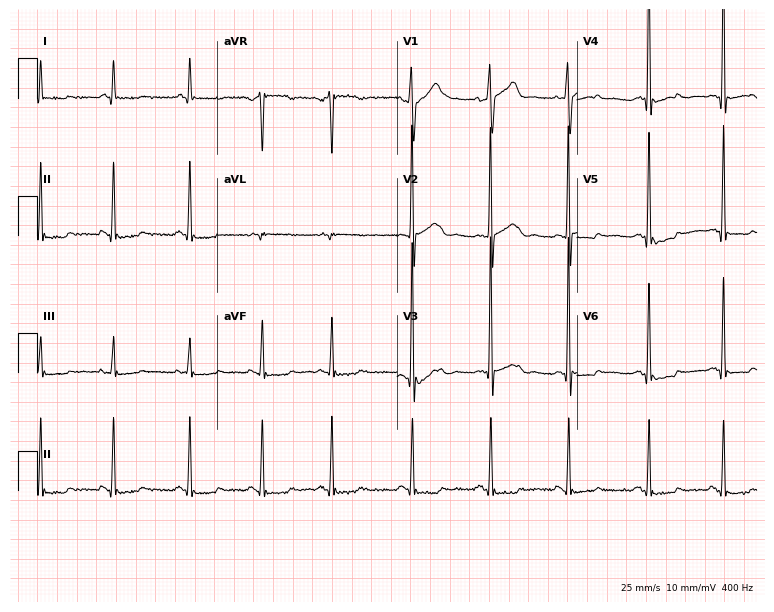
ECG — a male patient, 79 years old. Screened for six findings — first-degree AV block, right bundle branch block (RBBB), left bundle branch block (LBBB), sinus bradycardia, atrial fibrillation (AF), sinus tachycardia — none is recorded. Only these six findings were labelled.